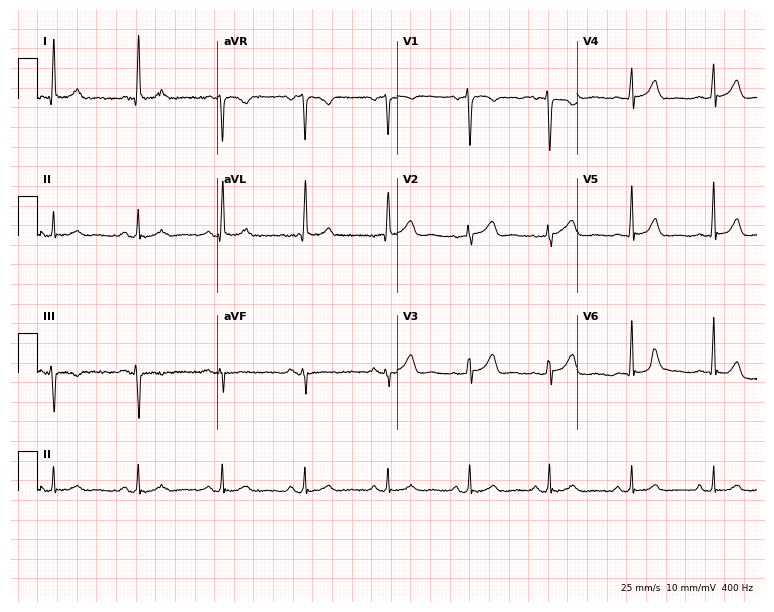
12-lead ECG (7.3-second recording at 400 Hz) from a woman, 60 years old. Labelled as a normal ECG.